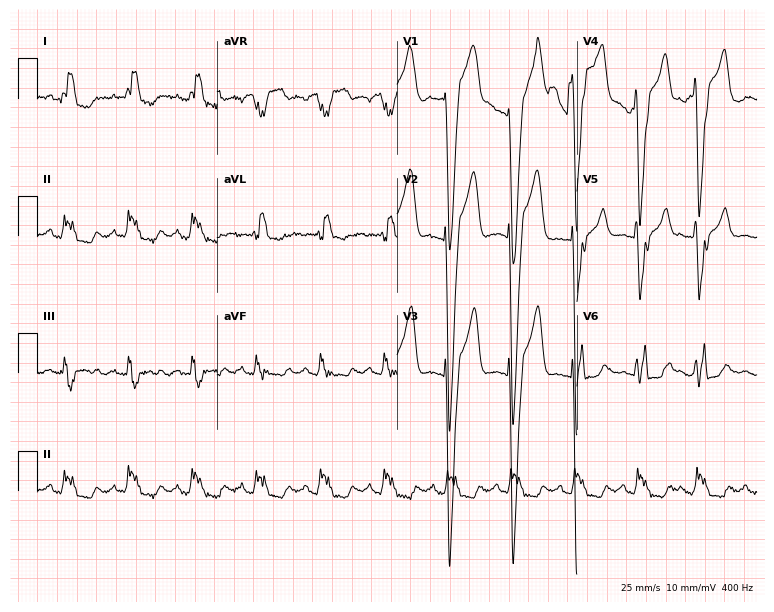
Standard 12-lead ECG recorded from a 54-year-old man (7.3-second recording at 400 Hz). The tracing shows left bundle branch block.